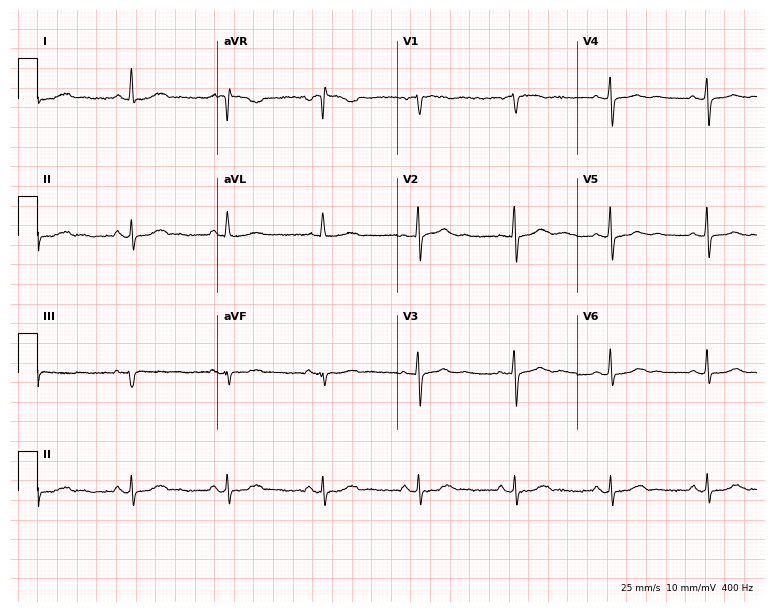
ECG (7.3-second recording at 400 Hz) — a woman, 74 years old. Labelled as a normal ECG.